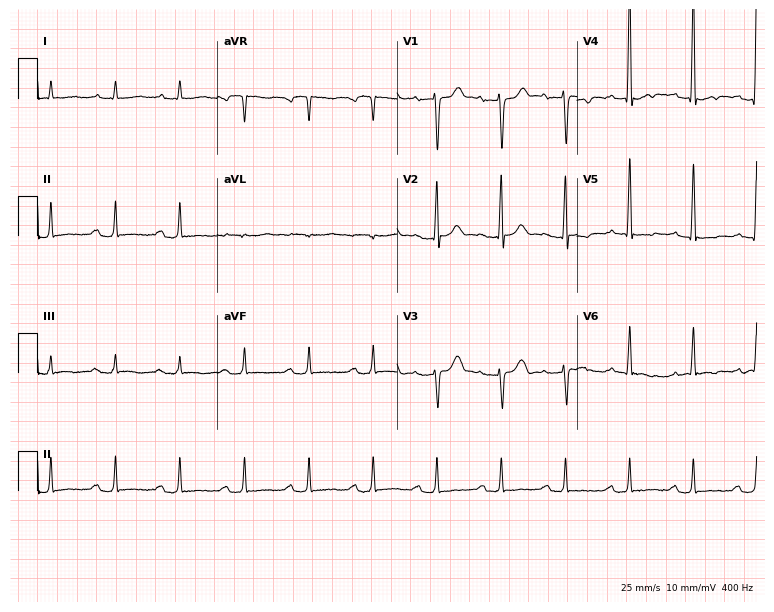
Resting 12-lead electrocardiogram (7.3-second recording at 400 Hz). Patient: a 56-year-old man. None of these six findings is recorded: first-degree AV block, right bundle branch block (RBBB), left bundle branch block (LBBB), sinus bradycardia, atrial fibrillation (AF), sinus tachycardia.